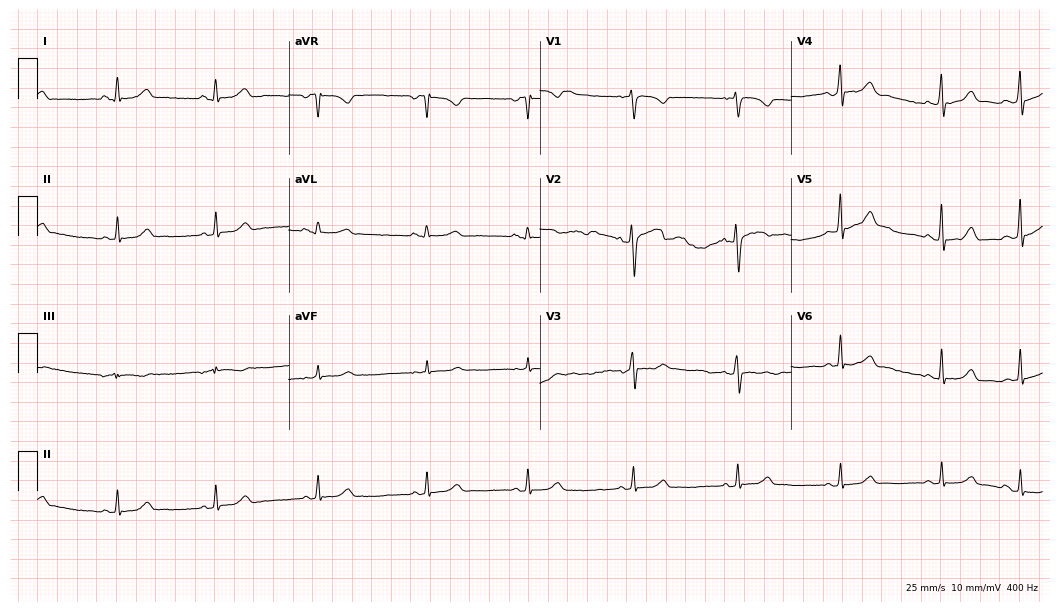
Resting 12-lead electrocardiogram. Patient: a woman, 26 years old. Read as a normal ECG.